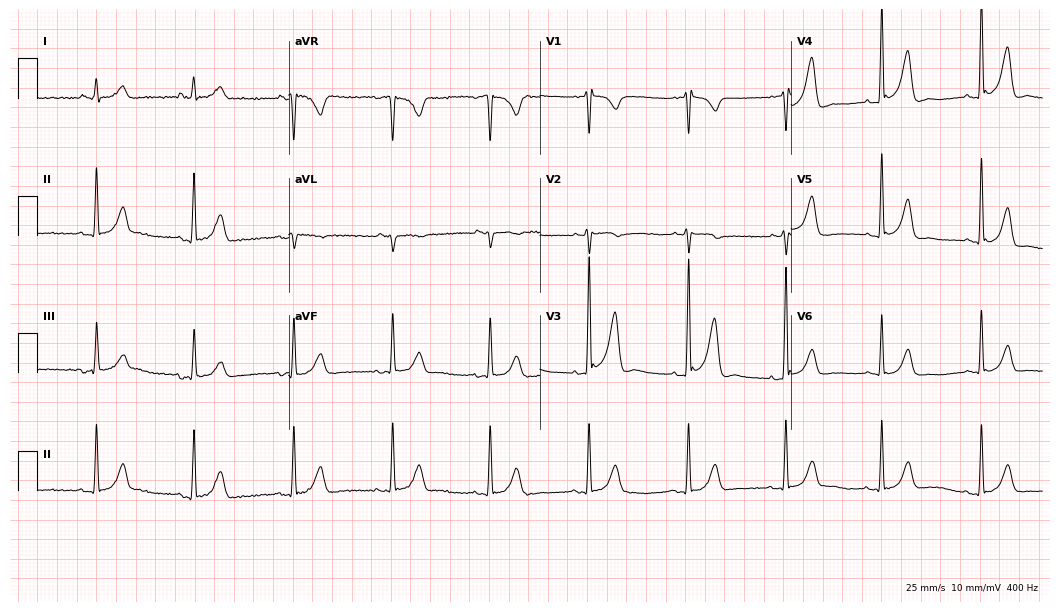
Electrocardiogram, a 73-year-old male patient. Of the six screened findings (first-degree AV block, right bundle branch block (RBBB), left bundle branch block (LBBB), sinus bradycardia, atrial fibrillation (AF), sinus tachycardia), none is recorded.